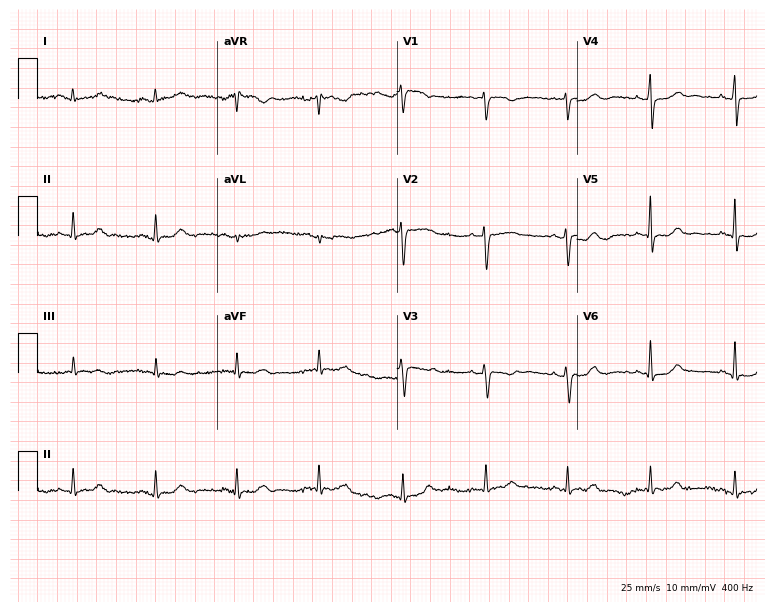
ECG — a 62-year-old female. Screened for six findings — first-degree AV block, right bundle branch block (RBBB), left bundle branch block (LBBB), sinus bradycardia, atrial fibrillation (AF), sinus tachycardia — none is recorded.